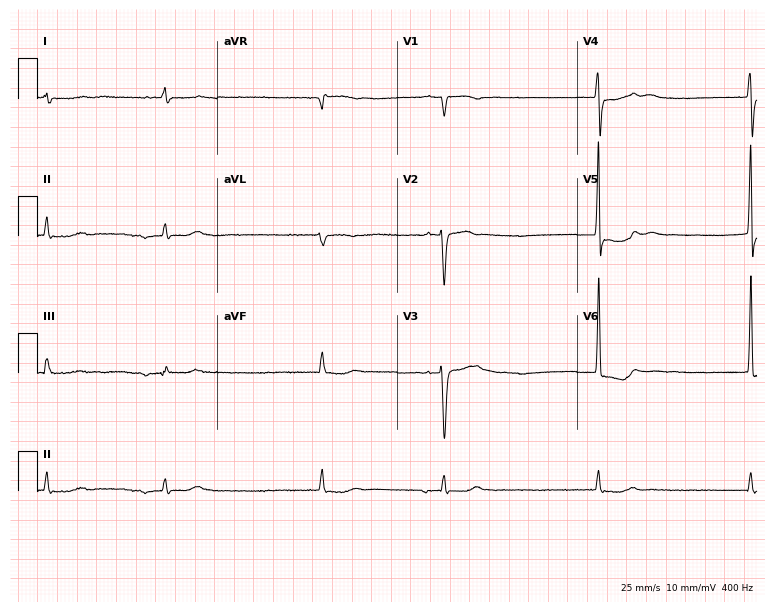
Electrocardiogram (7.3-second recording at 400 Hz), a 79-year-old female. Interpretation includes atrial fibrillation.